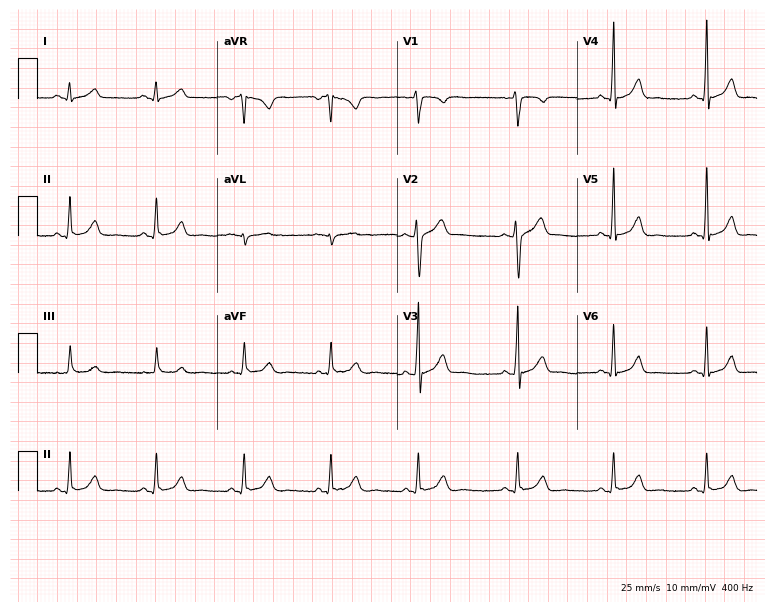
12-lead ECG from a 23-year-old man (7.3-second recording at 400 Hz). Recorded interpretation: within normal limits.